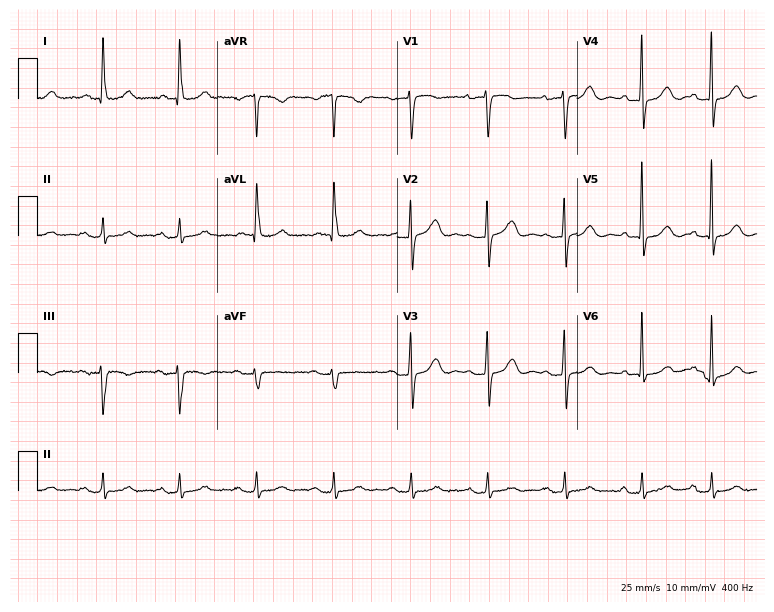
12-lead ECG from an 85-year-old woman (7.3-second recording at 400 Hz). Recorded interpretation: within normal limits.